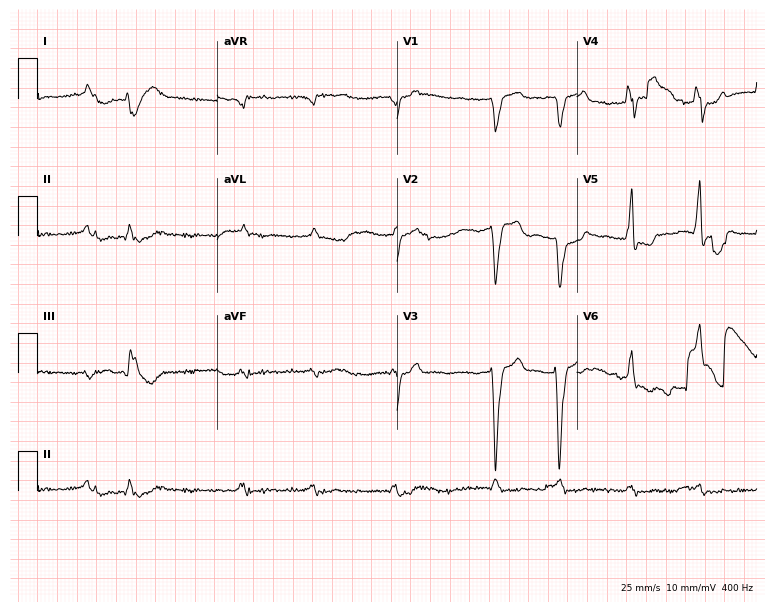
Resting 12-lead electrocardiogram. Patient: an 83-year-old man. The tracing shows left bundle branch block (LBBB), atrial fibrillation (AF).